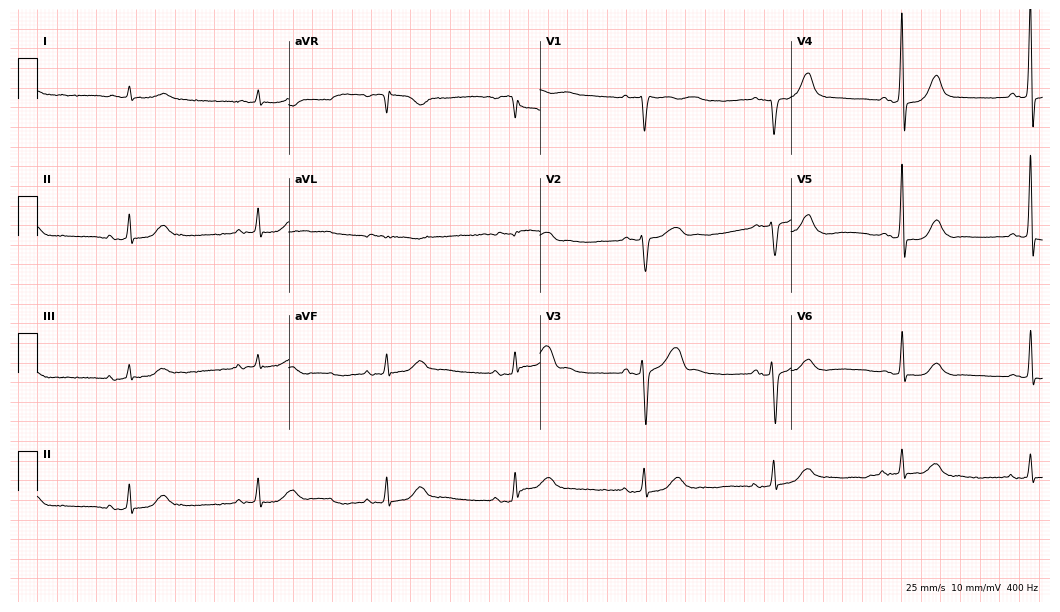
Electrocardiogram, an 83-year-old male. Interpretation includes sinus bradycardia (a sinus rate of 50 beats per minute or less).